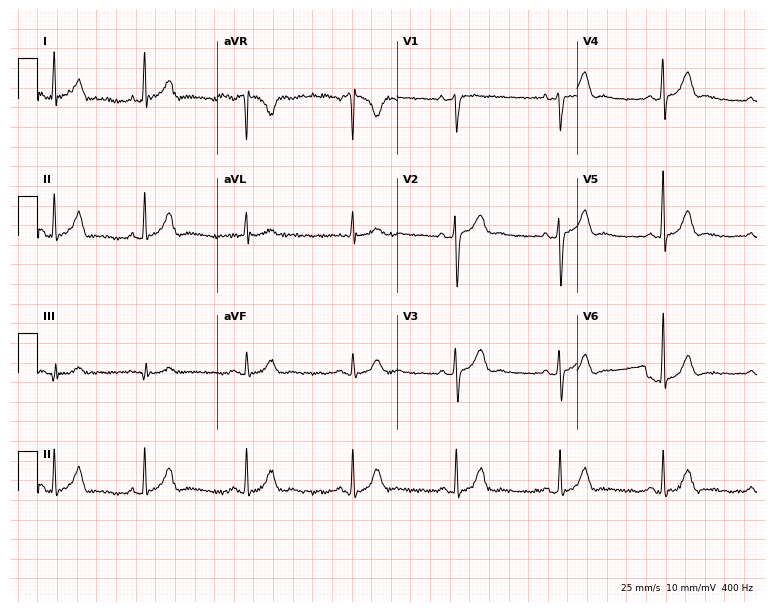
Electrocardiogram (7.3-second recording at 400 Hz), a 32-year-old man. Overall reading on record: normal ECG.